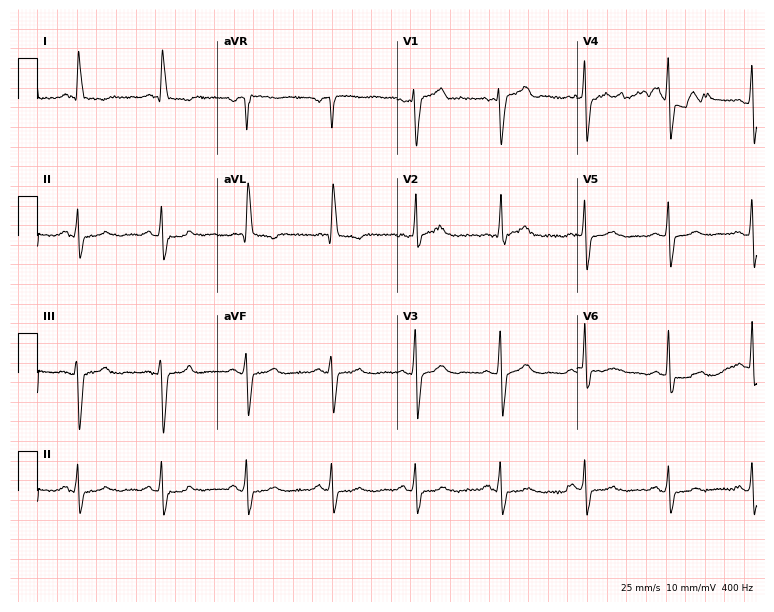
Standard 12-lead ECG recorded from a male patient, 77 years old (7.3-second recording at 400 Hz). None of these six findings is recorded: first-degree AV block, right bundle branch block, left bundle branch block, sinus bradycardia, atrial fibrillation, sinus tachycardia. Only these six findings were labelled.